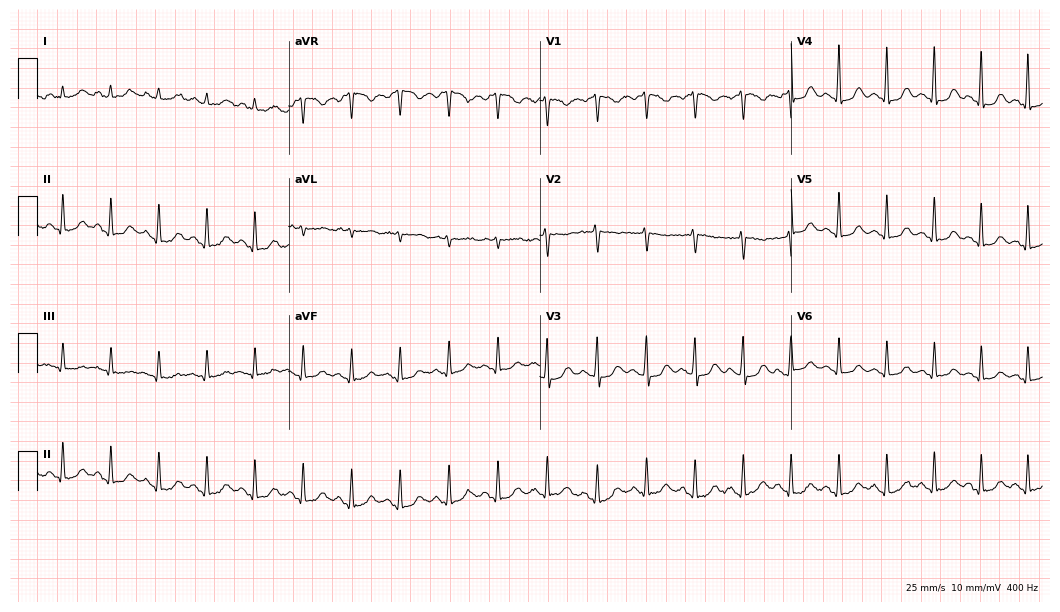
Electrocardiogram, a woman, 42 years old. Of the six screened findings (first-degree AV block, right bundle branch block (RBBB), left bundle branch block (LBBB), sinus bradycardia, atrial fibrillation (AF), sinus tachycardia), none is recorded.